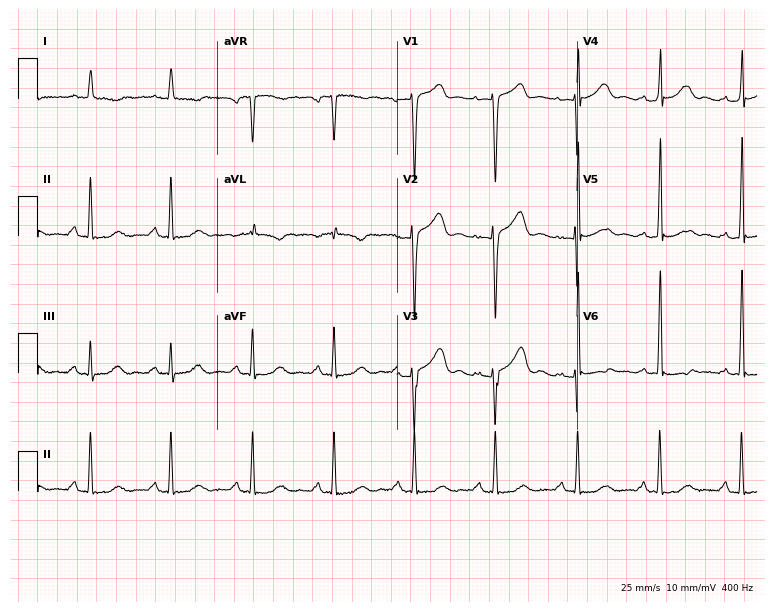
Resting 12-lead electrocardiogram. Patient: a male, 71 years old. None of these six findings is recorded: first-degree AV block, right bundle branch block, left bundle branch block, sinus bradycardia, atrial fibrillation, sinus tachycardia. Findings outside these six are not listed.